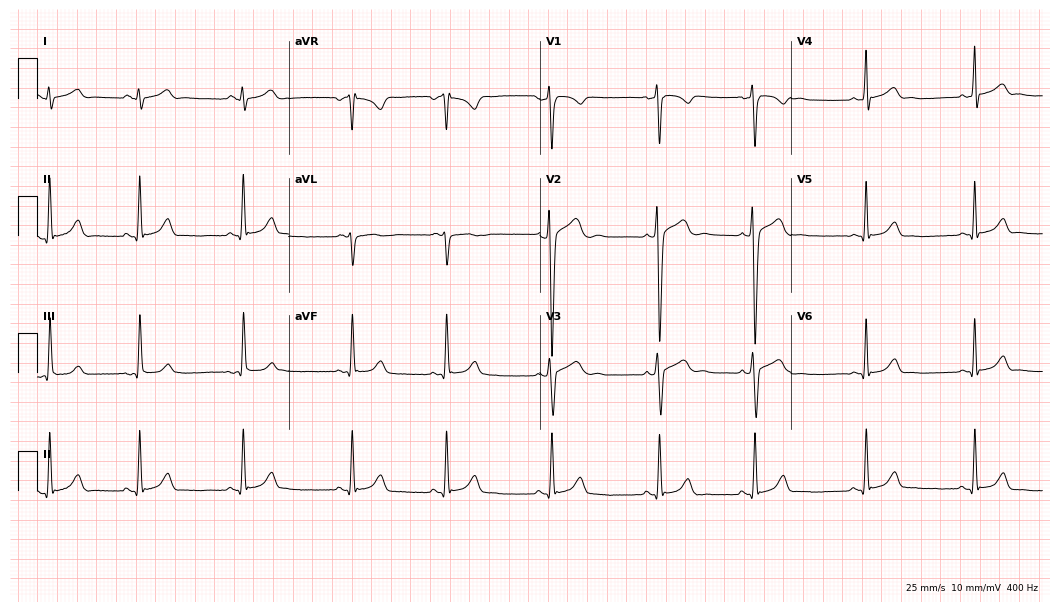
Standard 12-lead ECG recorded from a 21-year-old man. Read as a normal ECG.